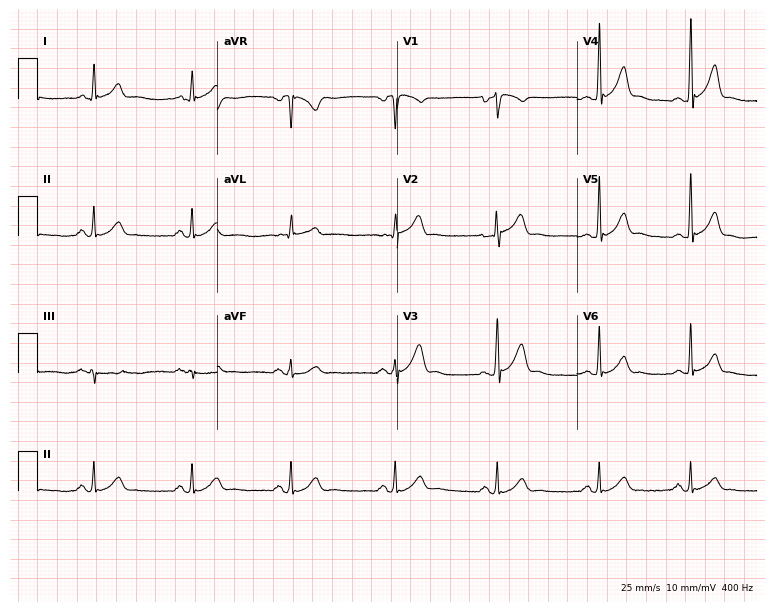
Resting 12-lead electrocardiogram. Patient: a 27-year-old man. Read as a normal ECG.